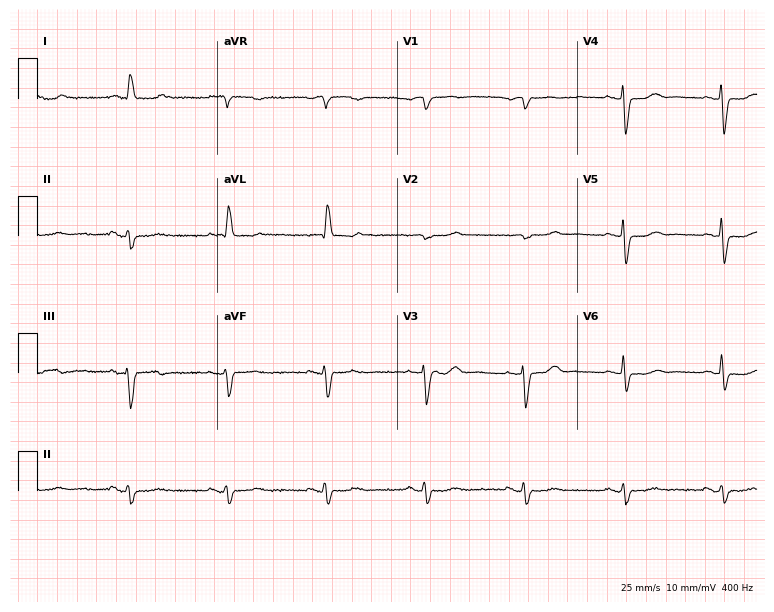
ECG (7.3-second recording at 400 Hz) — a female, 78 years old. Screened for six findings — first-degree AV block, right bundle branch block, left bundle branch block, sinus bradycardia, atrial fibrillation, sinus tachycardia — none is recorded.